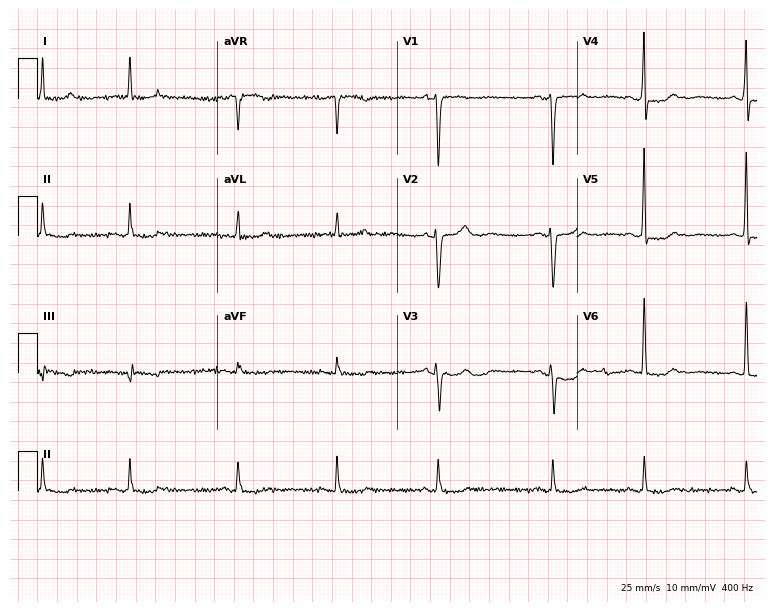
ECG (7.3-second recording at 400 Hz) — a female patient, 79 years old. Screened for six findings — first-degree AV block, right bundle branch block (RBBB), left bundle branch block (LBBB), sinus bradycardia, atrial fibrillation (AF), sinus tachycardia — none is recorded. Other findings, if any, are not listed.